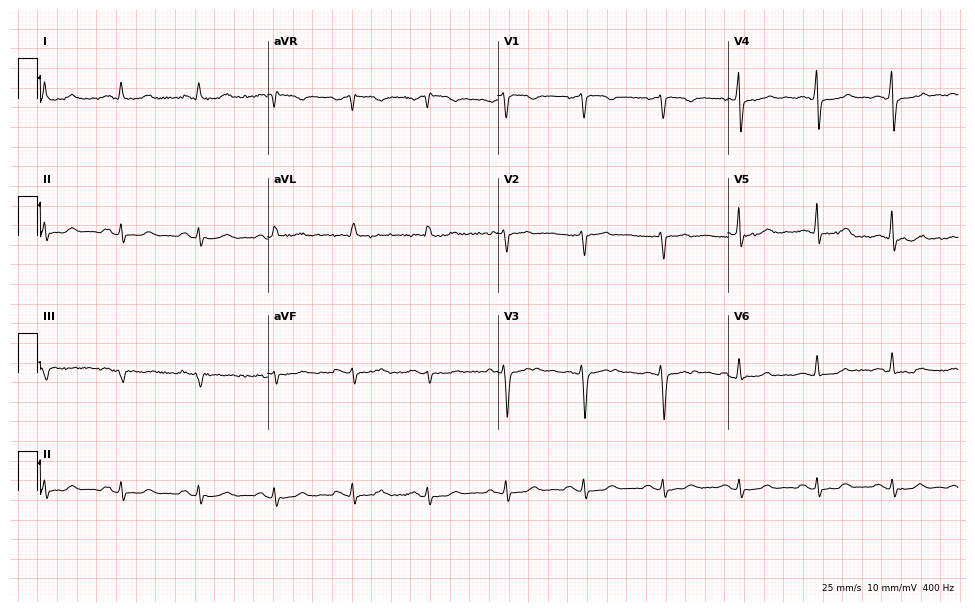
Resting 12-lead electrocardiogram. Patient: a 57-year-old male. None of these six findings is recorded: first-degree AV block, right bundle branch block, left bundle branch block, sinus bradycardia, atrial fibrillation, sinus tachycardia.